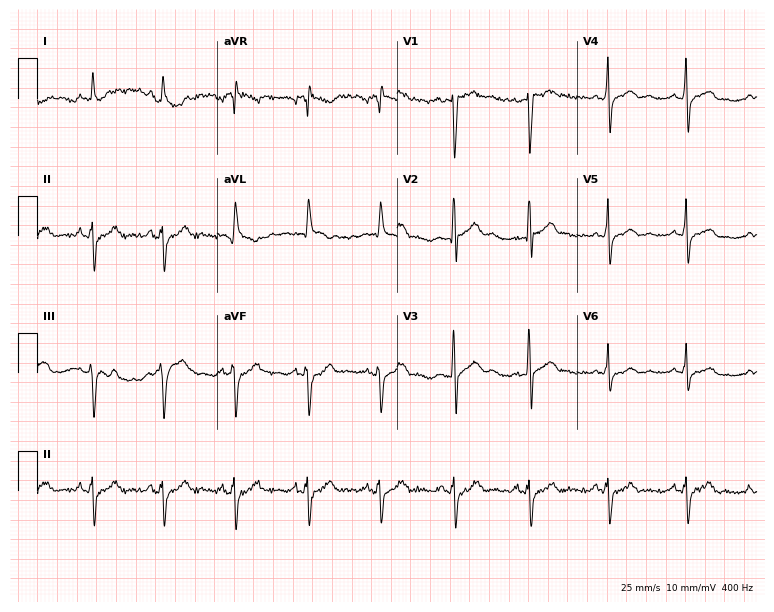
Electrocardiogram (7.3-second recording at 400 Hz), a 63-year-old man. Of the six screened findings (first-degree AV block, right bundle branch block (RBBB), left bundle branch block (LBBB), sinus bradycardia, atrial fibrillation (AF), sinus tachycardia), none is recorded.